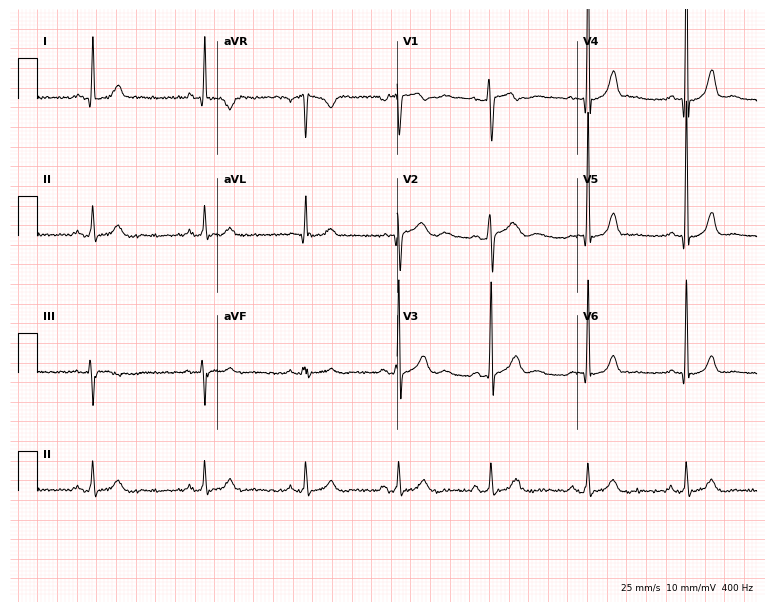
Resting 12-lead electrocardiogram (7.3-second recording at 400 Hz). Patient: a 60-year-old woman. None of these six findings is recorded: first-degree AV block, right bundle branch block, left bundle branch block, sinus bradycardia, atrial fibrillation, sinus tachycardia.